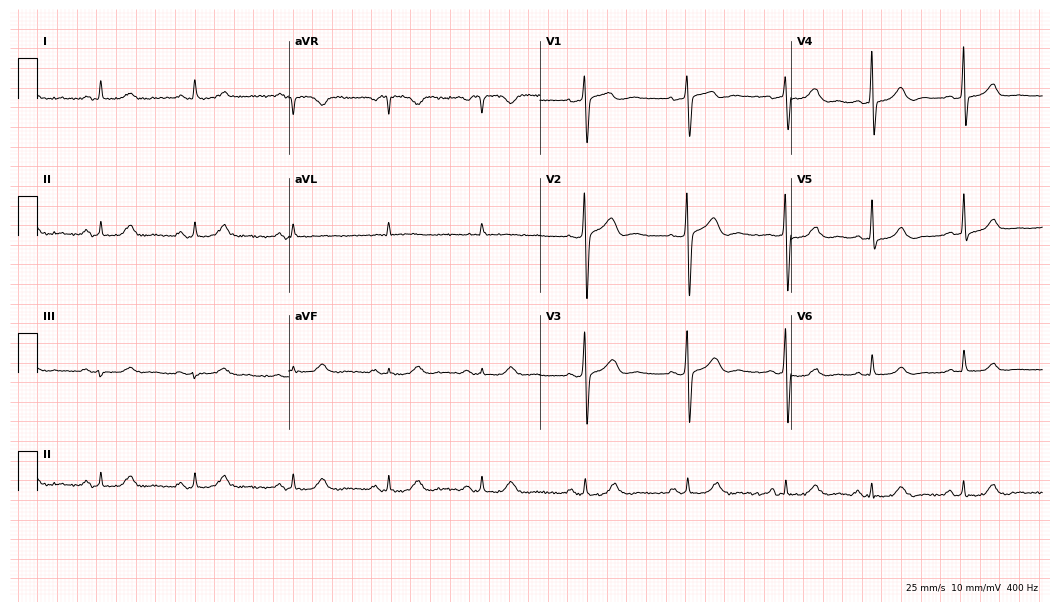
Standard 12-lead ECG recorded from a 59-year-old male. None of these six findings is recorded: first-degree AV block, right bundle branch block (RBBB), left bundle branch block (LBBB), sinus bradycardia, atrial fibrillation (AF), sinus tachycardia. Only these six findings were labelled.